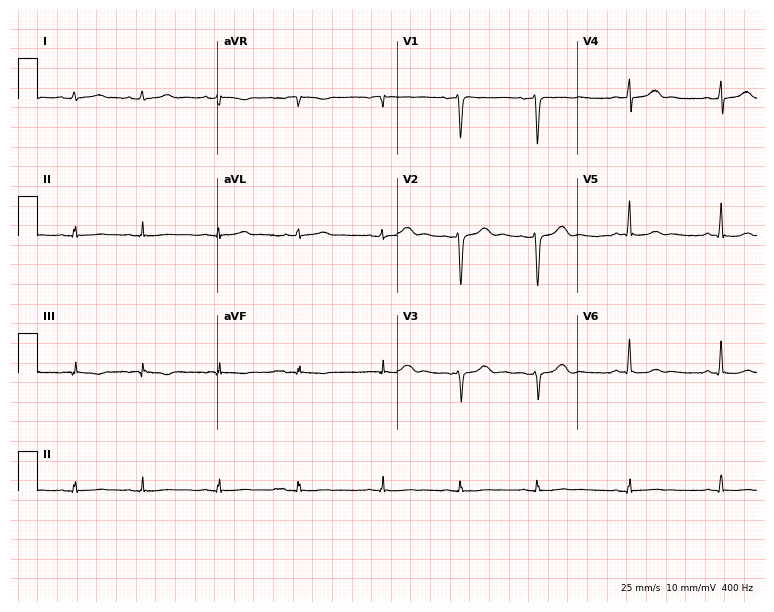
Resting 12-lead electrocardiogram (7.3-second recording at 400 Hz). Patient: a female, 28 years old. None of these six findings is recorded: first-degree AV block, right bundle branch block (RBBB), left bundle branch block (LBBB), sinus bradycardia, atrial fibrillation (AF), sinus tachycardia.